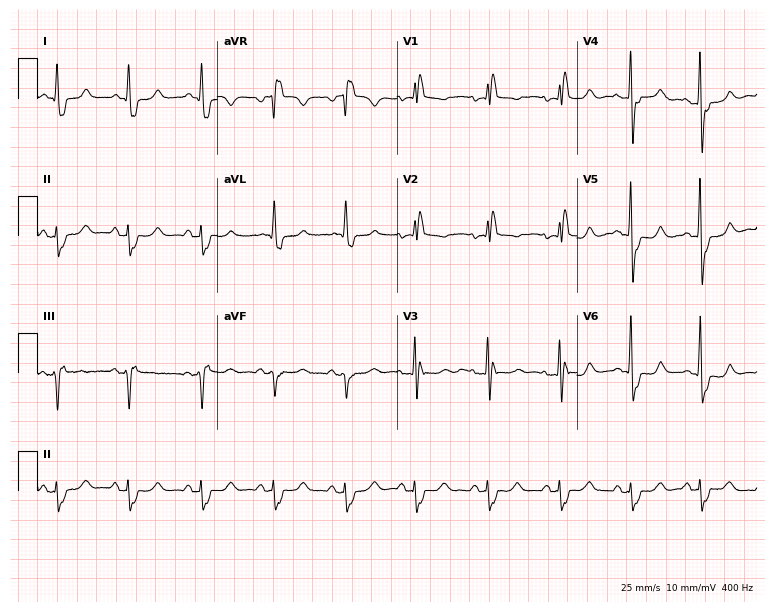
12-lead ECG from a 71-year-old female patient. No first-degree AV block, right bundle branch block, left bundle branch block, sinus bradycardia, atrial fibrillation or sinus tachycardia recorded for this tracing. Other findings, if any, are not listed.